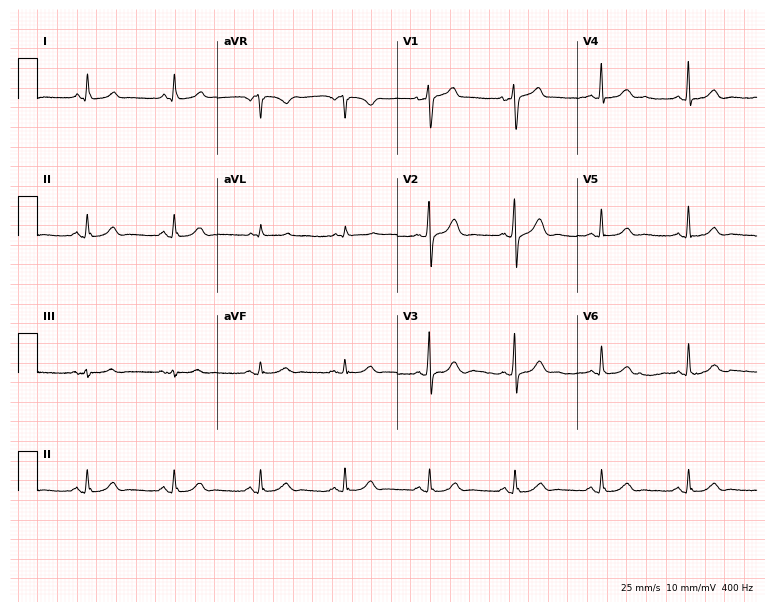
12-lead ECG from a male patient, 65 years old. Recorded interpretation: within normal limits.